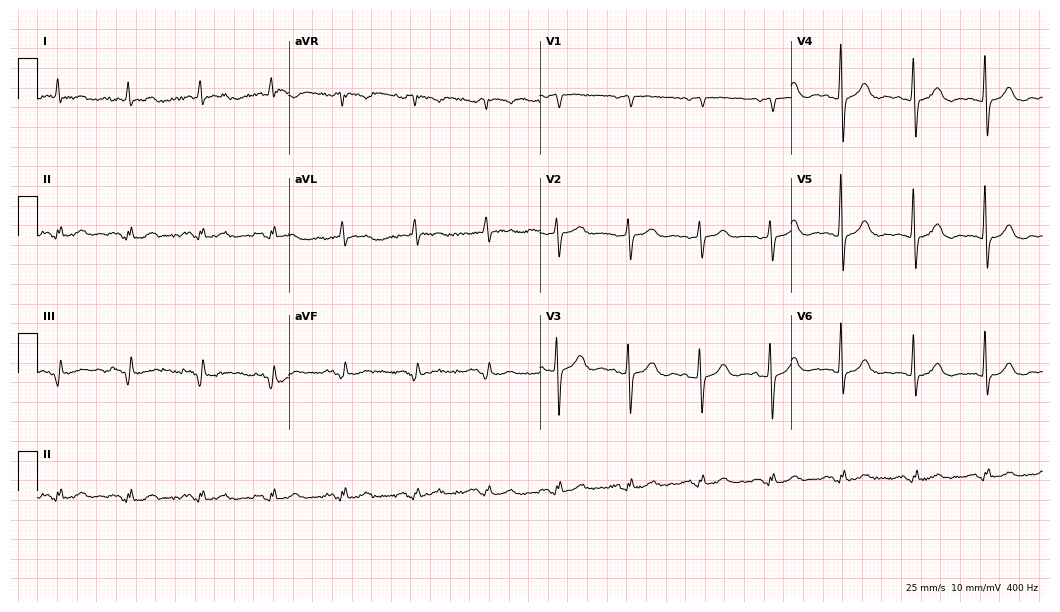
12-lead ECG from a female, 76 years old. Recorded interpretation: within normal limits.